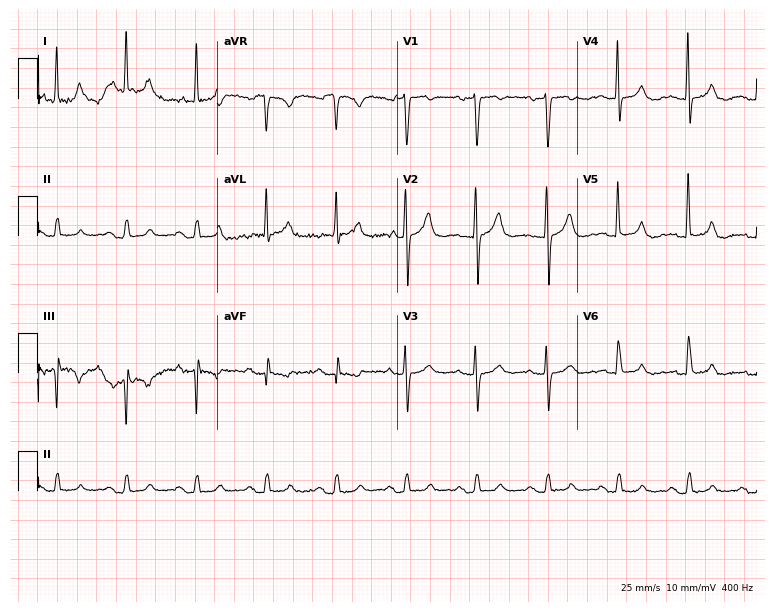
12-lead ECG from a female patient, 71 years old. Recorded interpretation: within normal limits.